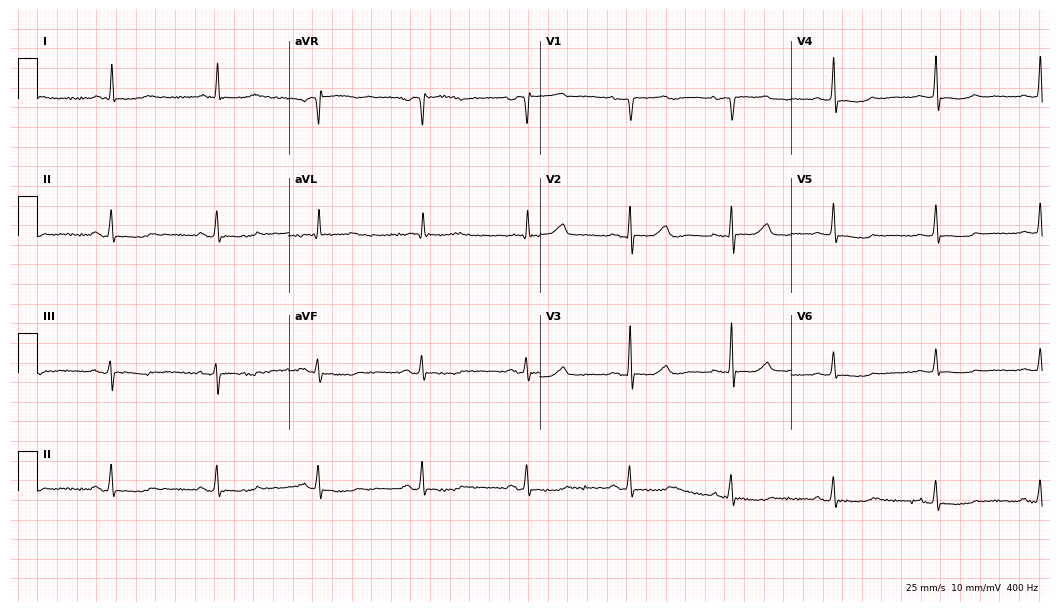
12-lead ECG from a 78-year-old female. Screened for six findings — first-degree AV block, right bundle branch block (RBBB), left bundle branch block (LBBB), sinus bradycardia, atrial fibrillation (AF), sinus tachycardia — none is recorded. Other findings, if any, are not listed.